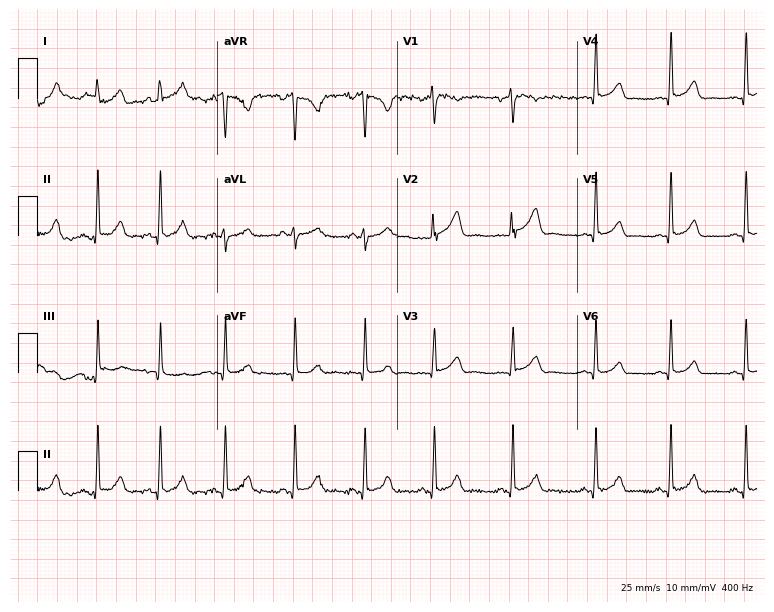
ECG — a 23-year-old female patient. Labelled as a normal ECG.